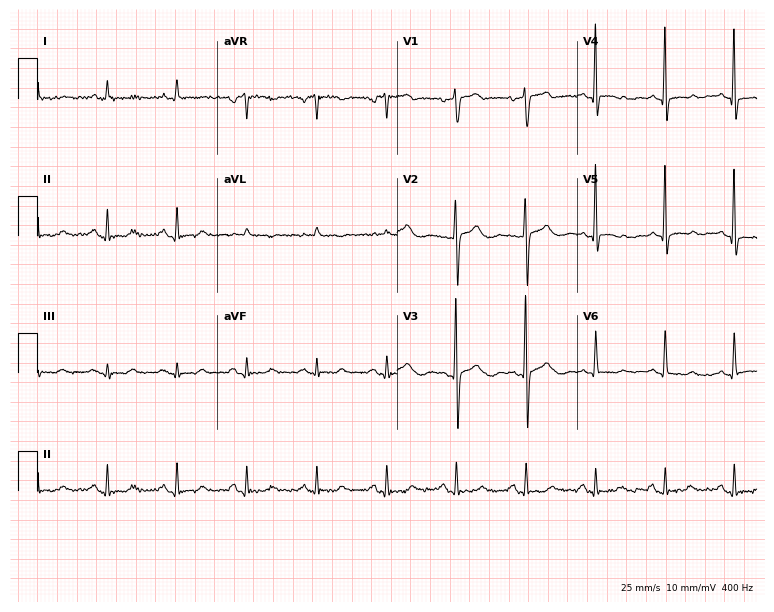
12-lead ECG from an 82-year-old woman. No first-degree AV block, right bundle branch block, left bundle branch block, sinus bradycardia, atrial fibrillation or sinus tachycardia recorded for this tracing.